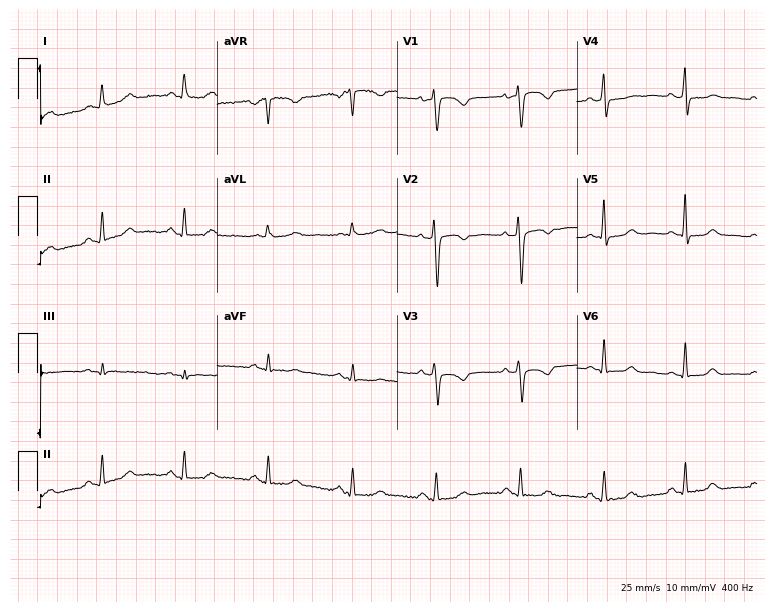
Electrocardiogram, a female, 57 years old. Of the six screened findings (first-degree AV block, right bundle branch block, left bundle branch block, sinus bradycardia, atrial fibrillation, sinus tachycardia), none is recorded. Only these six findings were labelled.